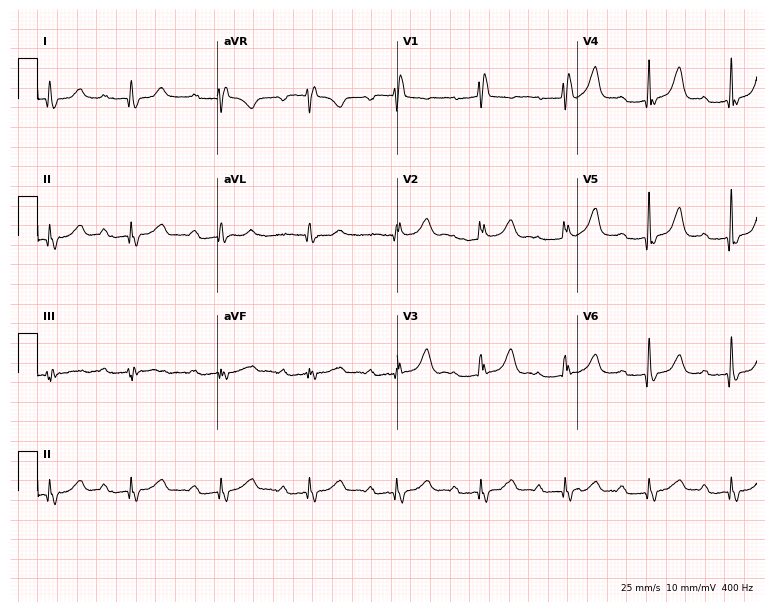
ECG (7.3-second recording at 400 Hz) — a woman, 52 years old. Findings include first-degree AV block, right bundle branch block (RBBB).